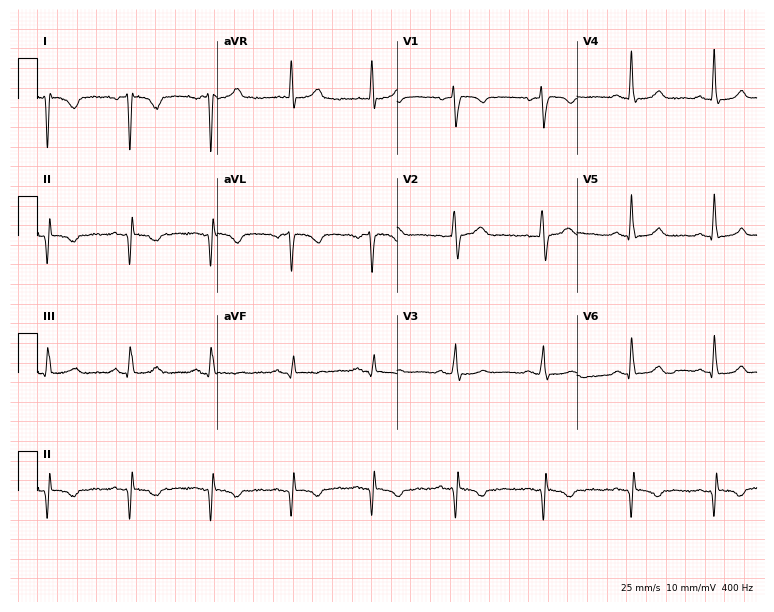
12-lead ECG from a female, 50 years old. No first-degree AV block, right bundle branch block, left bundle branch block, sinus bradycardia, atrial fibrillation or sinus tachycardia recorded for this tracing. Other findings, if any, are not listed.